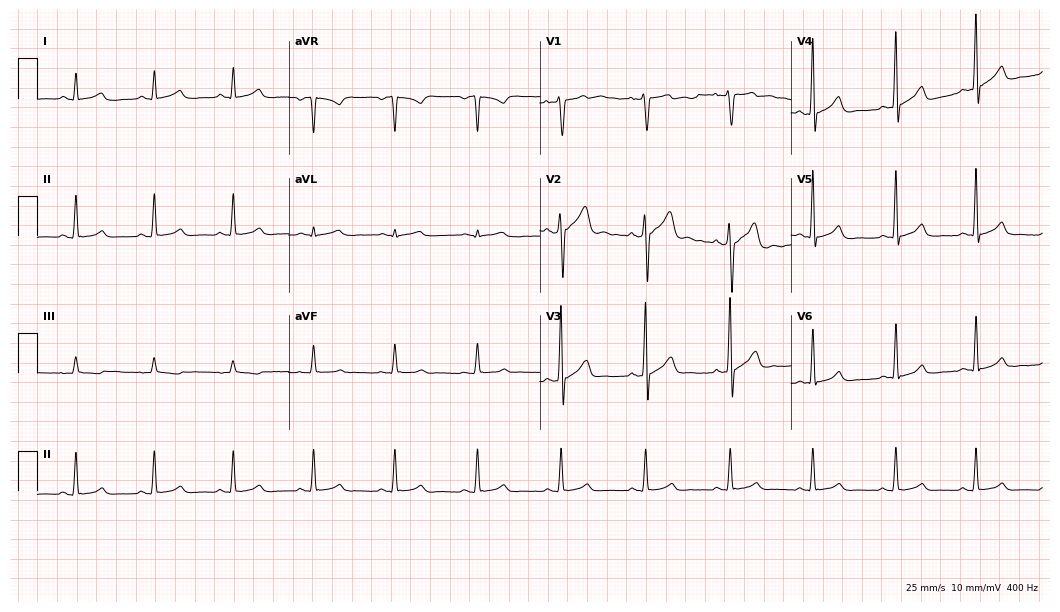
Electrocardiogram (10.2-second recording at 400 Hz), a 36-year-old male. Overall reading on record: normal ECG.